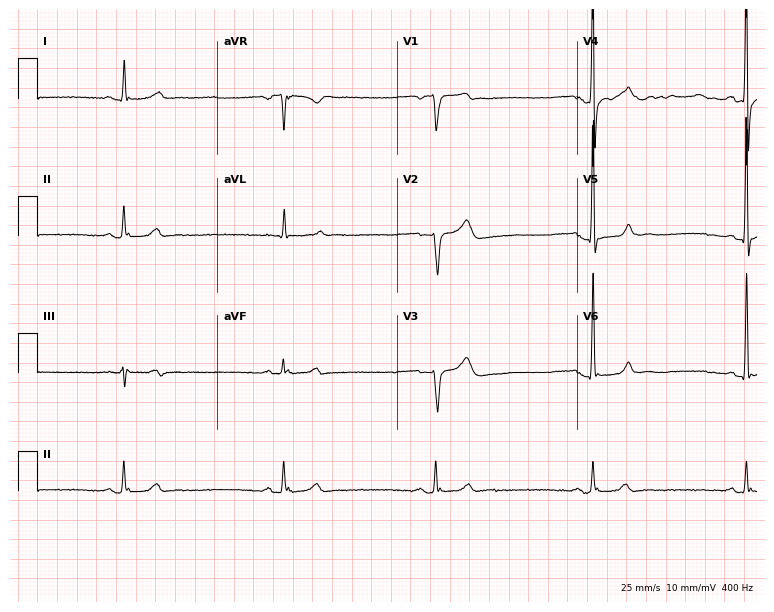
Standard 12-lead ECG recorded from a male, 50 years old (7.3-second recording at 400 Hz). The tracing shows sinus bradycardia (a sinus rate of 50 beats per minute or less).